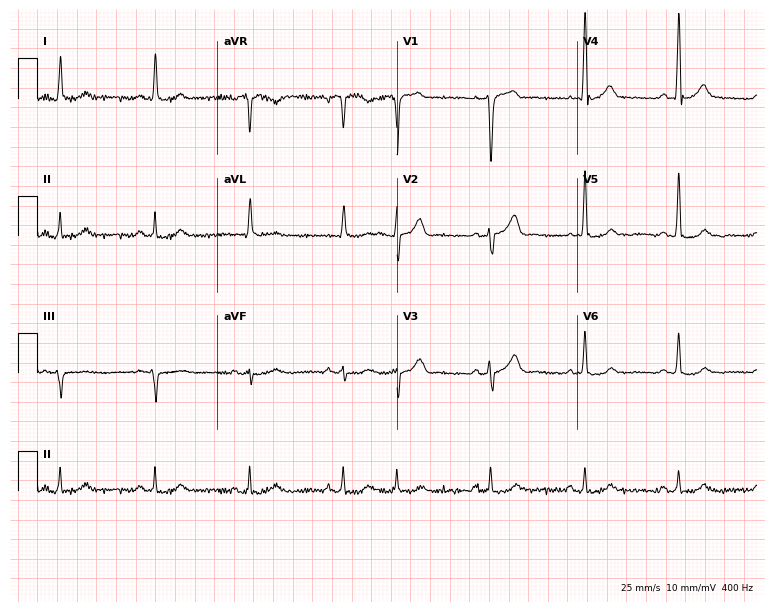
Standard 12-lead ECG recorded from a male, 77 years old. None of these six findings is recorded: first-degree AV block, right bundle branch block, left bundle branch block, sinus bradycardia, atrial fibrillation, sinus tachycardia. Findings outside these six are not listed.